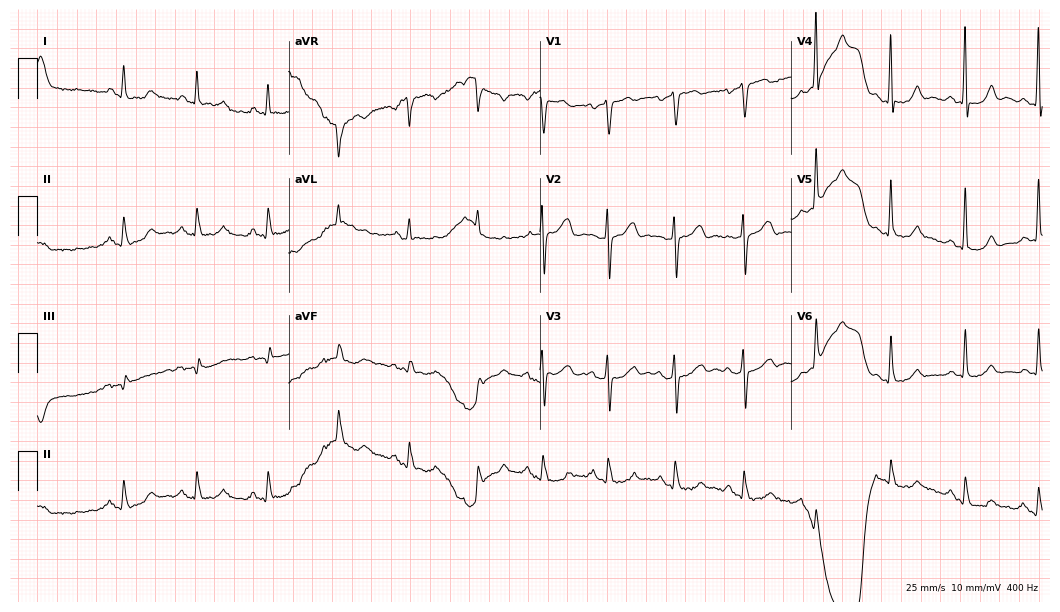
12-lead ECG from a 69-year-old male (10.2-second recording at 400 Hz). Recorded interpretation: within normal limits.